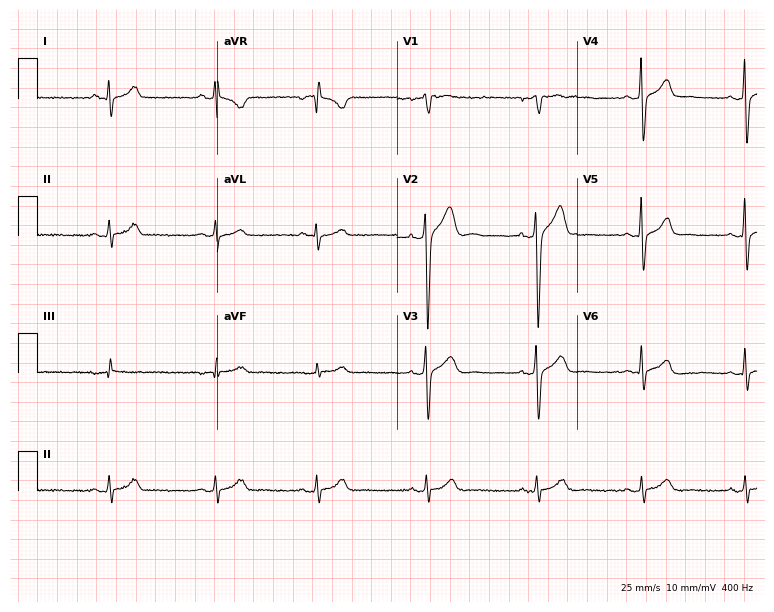
Resting 12-lead electrocardiogram. Patient: a male, 34 years old. Read as a normal ECG.